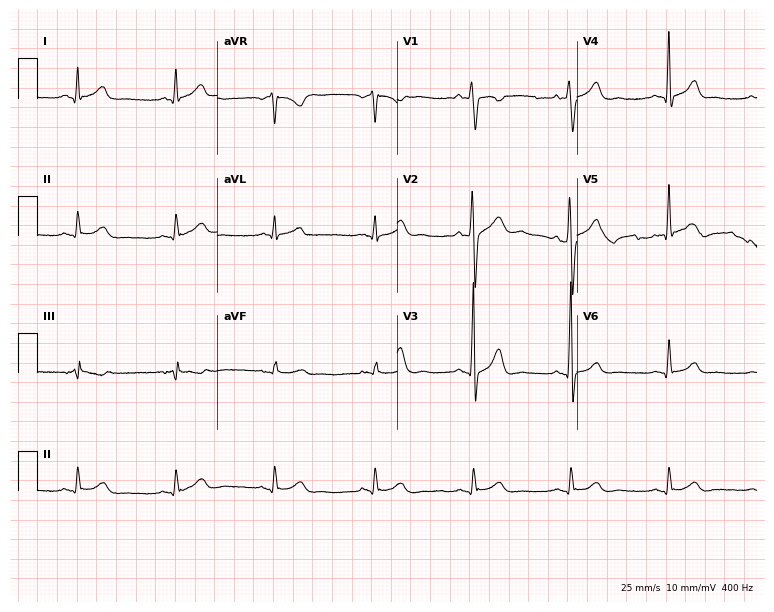
Resting 12-lead electrocardiogram (7.3-second recording at 400 Hz). Patient: a male, 45 years old. None of these six findings is recorded: first-degree AV block, right bundle branch block, left bundle branch block, sinus bradycardia, atrial fibrillation, sinus tachycardia. Only these six findings were labelled.